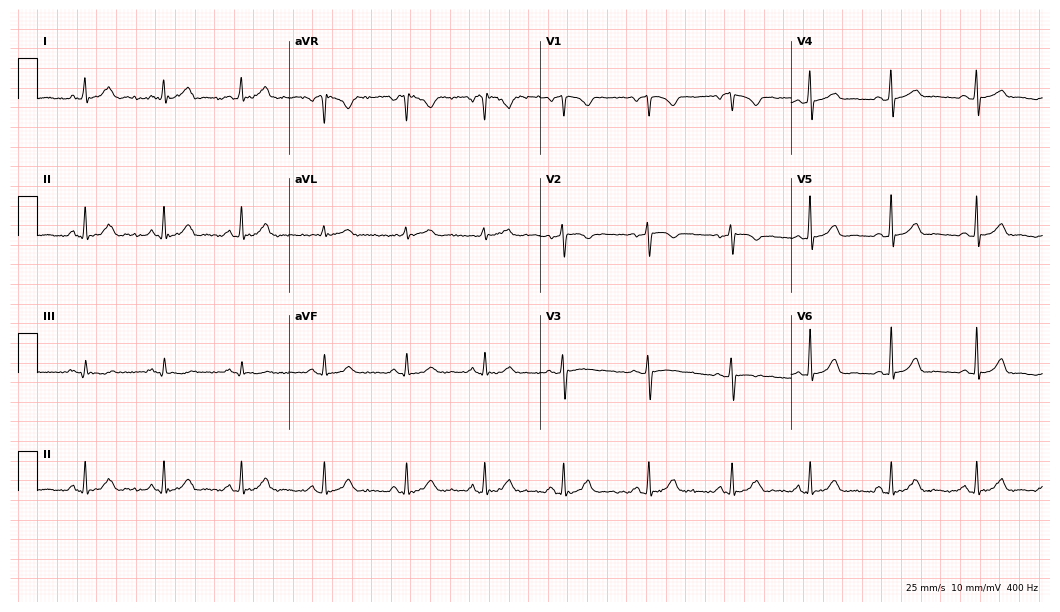
Resting 12-lead electrocardiogram. Patient: a female, 34 years old. Read as a normal ECG.